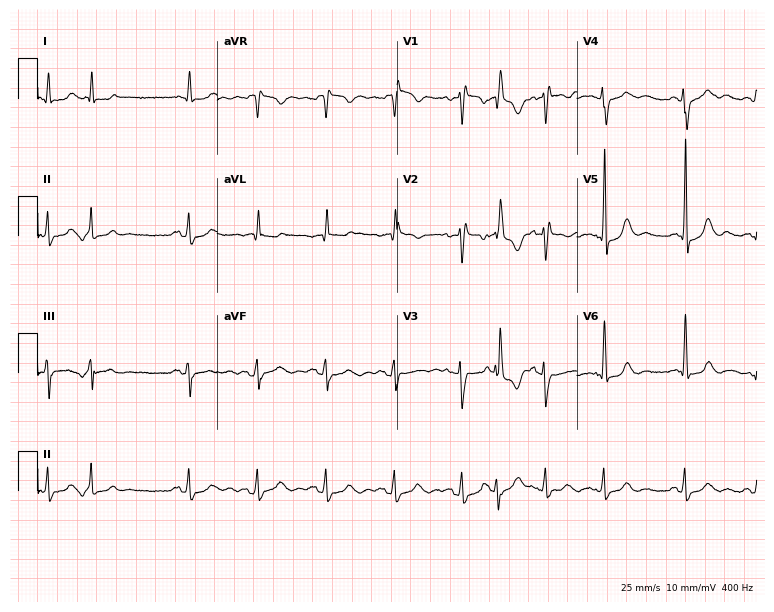
12-lead ECG from a 61-year-old woman. No first-degree AV block, right bundle branch block (RBBB), left bundle branch block (LBBB), sinus bradycardia, atrial fibrillation (AF) or sinus tachycardia recorded for this tracing. Other findings, if any, are not listed.